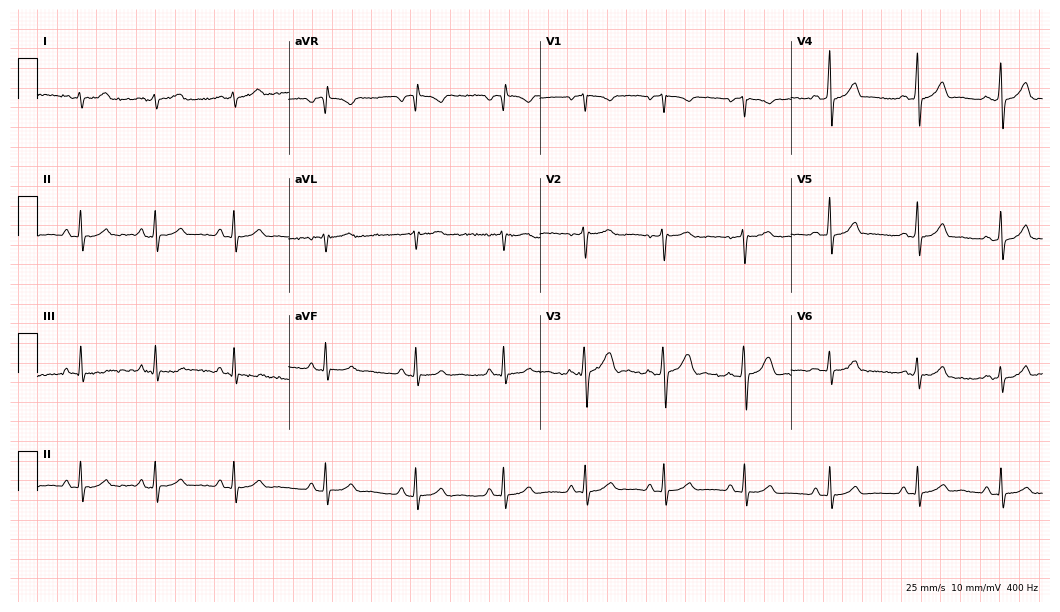
ECG (10.2-second recording at 400 Hz) — a 21-year-old man. Screened for six findings — first-degree AV block, right bundle branch block, left bundle branch block, sinus bradycardia, atrial fibrillation, sinus tachycardia — none is recorded.